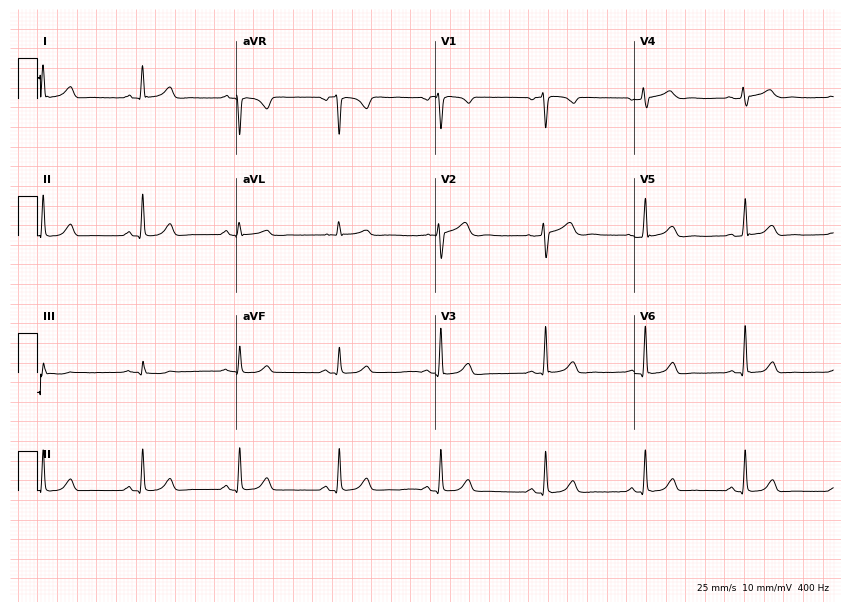
Standard 12-lead ECG recorded from a woman, 45 years old. Read as a normal ECG.